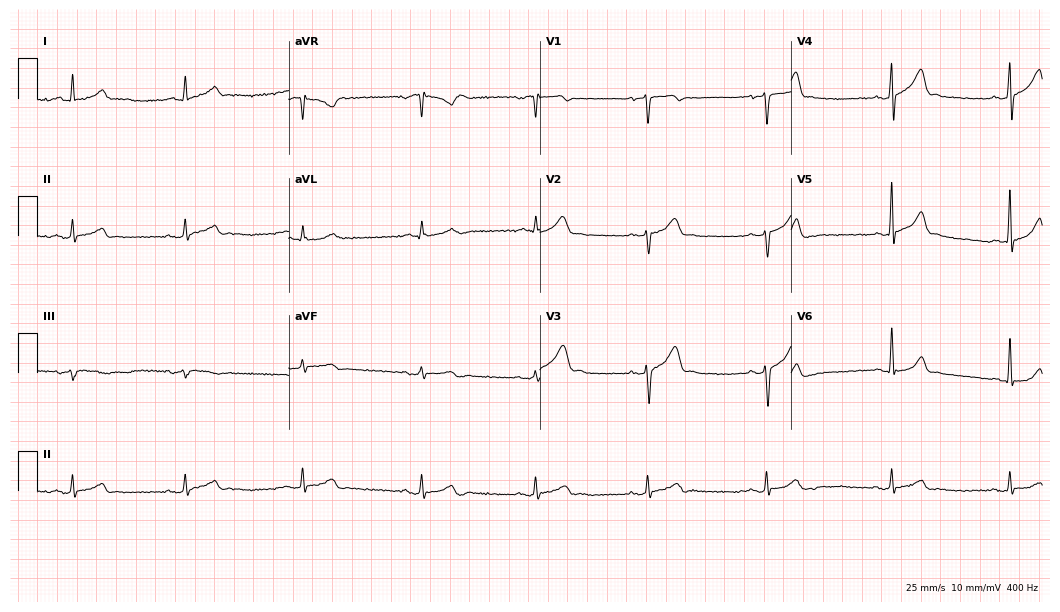
Electrocardiogram (10.2-second recording at 400 Hz), a man, 30 years old. Overall reading on record: normal ECG.